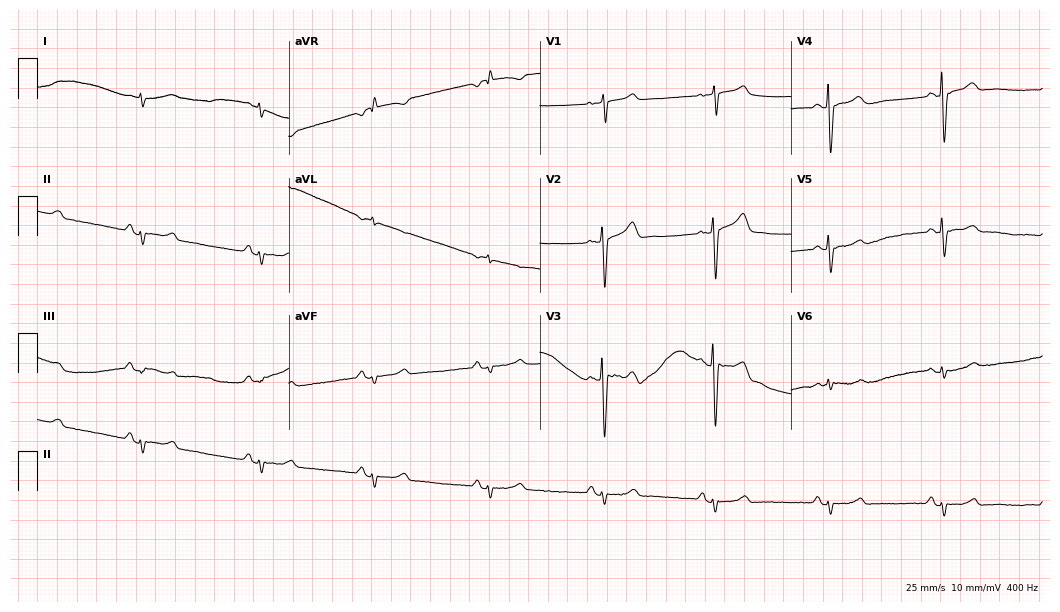
ECG — a 57-year-old male patient. Screened for six findings — first-degree AV block, right bundle branch block (RBBB), left bundle branch block (LBBB), sinus bradycardia, atrial fibrillation (AF), sinus tachycardia — none is recorded.